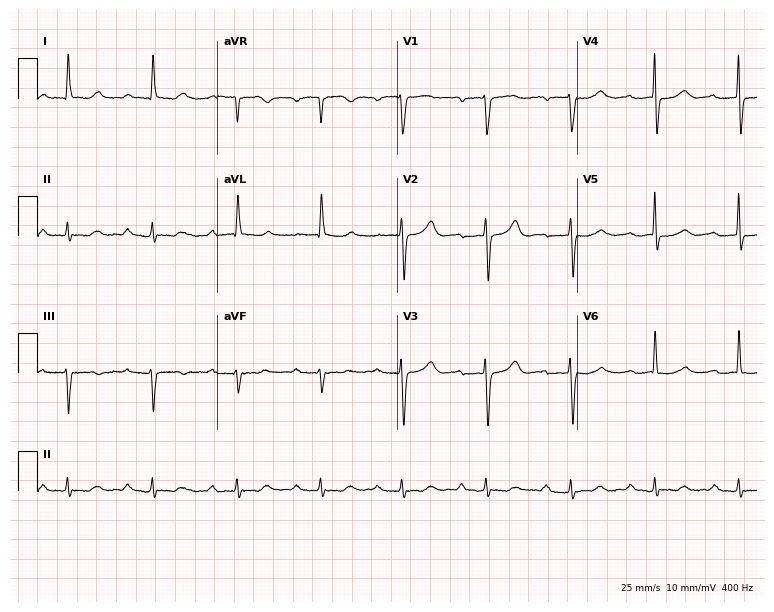
ECG — a female patient, 80 years old. Findings include first-degree AV block.